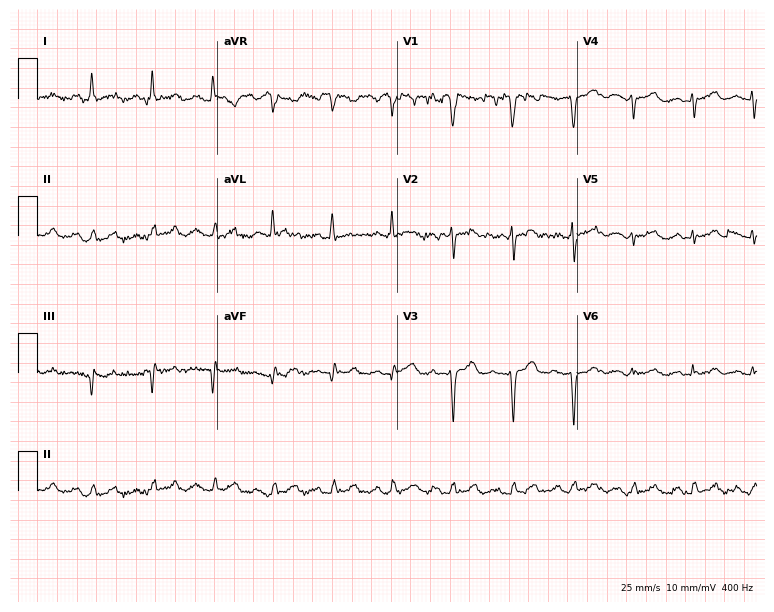
Resting 12-lead electrocardiogram (7.3-second recording at 400 Hz). Patient: a 58-year-old female. None of these six findings is recorded: first-degree AV block, right bundle branch block, left bundle branch block, sinus bradycardia, atrial fibrillation, sinus tachycardia. Only these six findings were labelled.